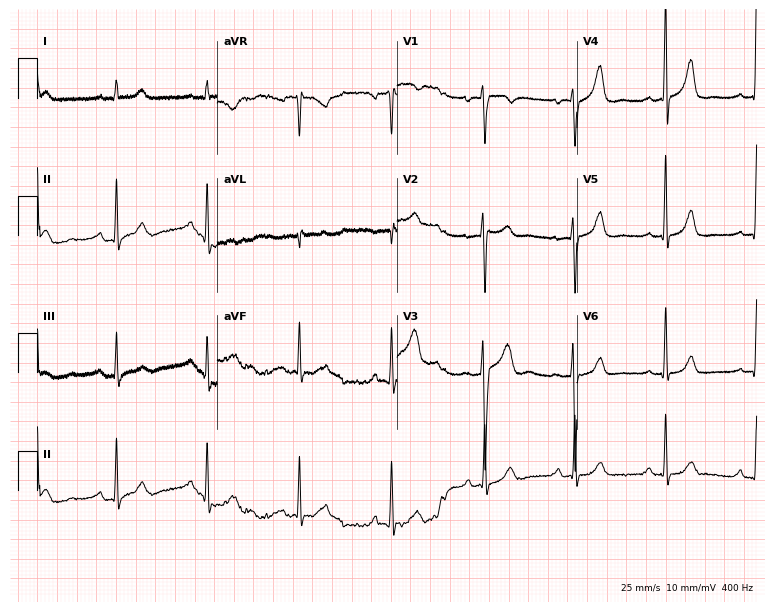
Resting 12-lead electrocardiogram. Patient: a 23-year-old man. None of these six findings is recorded: first-degree AV block, right bundle branch block (RBBB), left bundle branch block (LBBB), sinus bradycardia, atrial fibrillation (AF), sinus tachycardia. Findings outside these six are not listed.